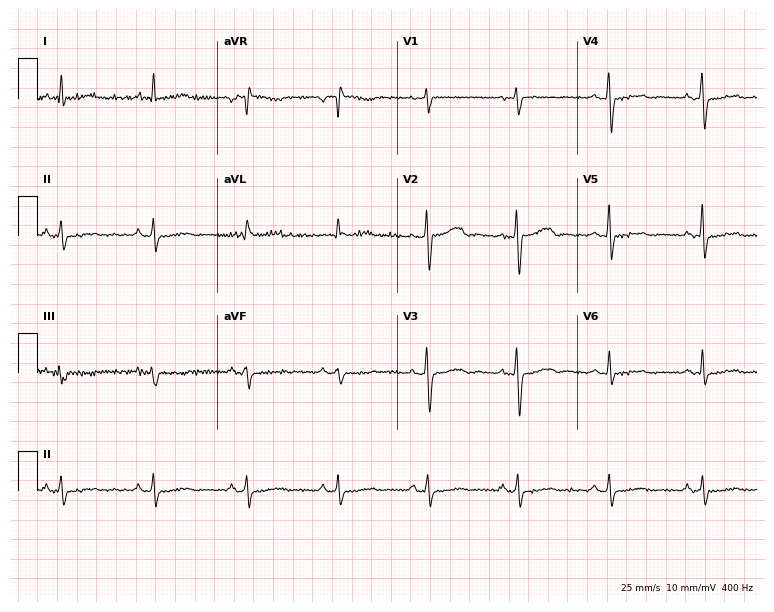
12-lead ECG from a female patient, 65 years old. Screened for six findings — first-degree AV block, right bundle branch block, left bundle branch block, sinus bradycardia, atrial fibrillation, sinus tachycardia — none is recorded. Other findings, if any, are not listed.